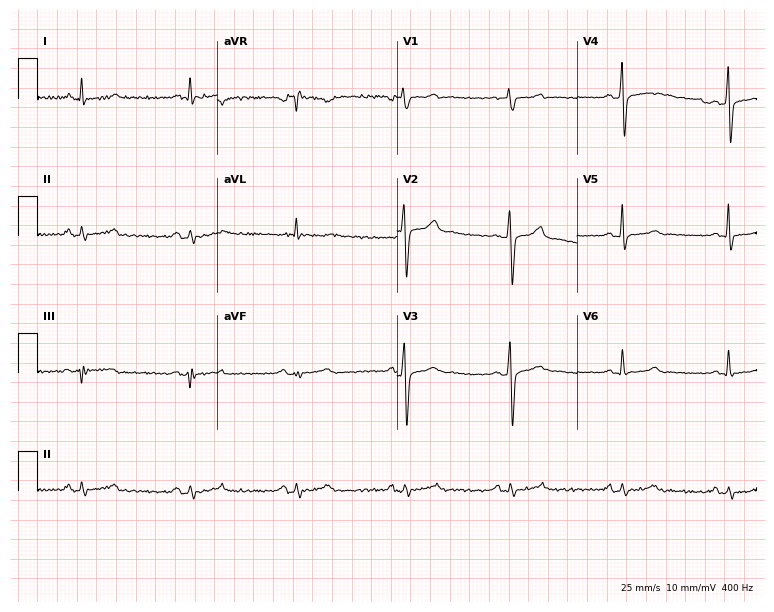
12-lead ECG from a 40-year-old male patient. Screened for six findings — first-degree AV block, right bundle branch block, left bundle branch block, sinus bradycardia, atrial fibrillation, sinus tachycardia — none is recorded. Other findings, if any, are not listed.